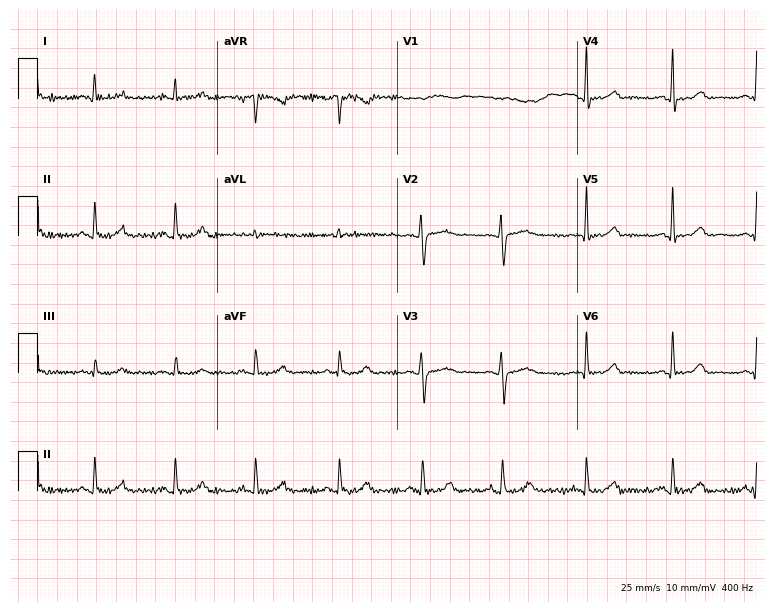
12-lead ECG from a 42-year-old female (7.3-second recording at 400 Hz). Recorded interpretation: within normal limits.